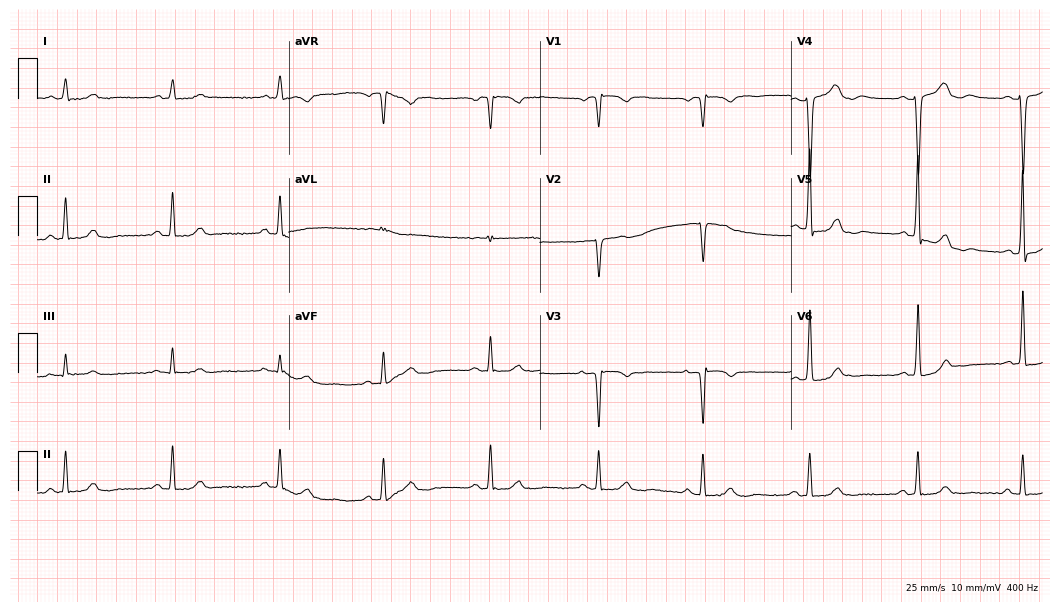
12-lead ECG from a female, 73 years old. Screened for six findings — first-degree AV block, right bundle branch block, left bundle branch block, sinus bradycardia, atrial fibrillation, sinus tachycardia — none is recorded. Other findings, if any, are not listed.